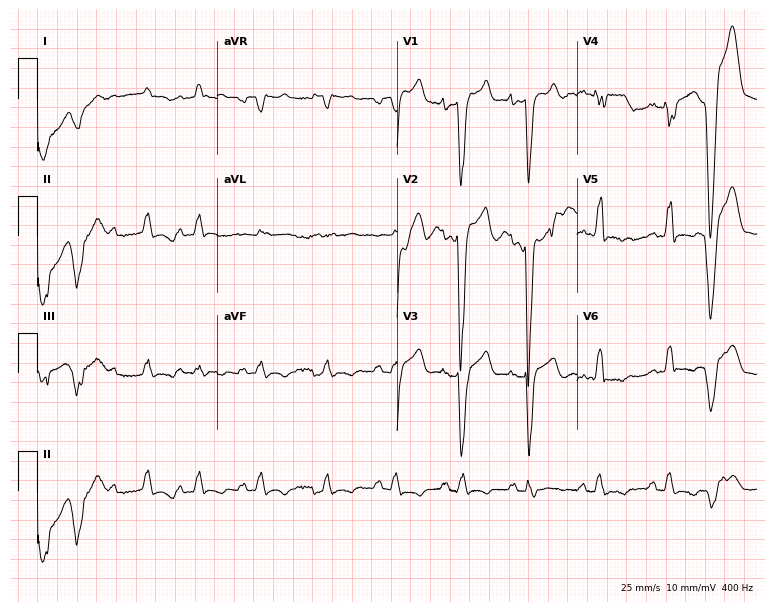
12-lead ECG (7.3-second recording at 400 Hz) from a 43-year-old man. Findings include left bundle branch block (LBBB).